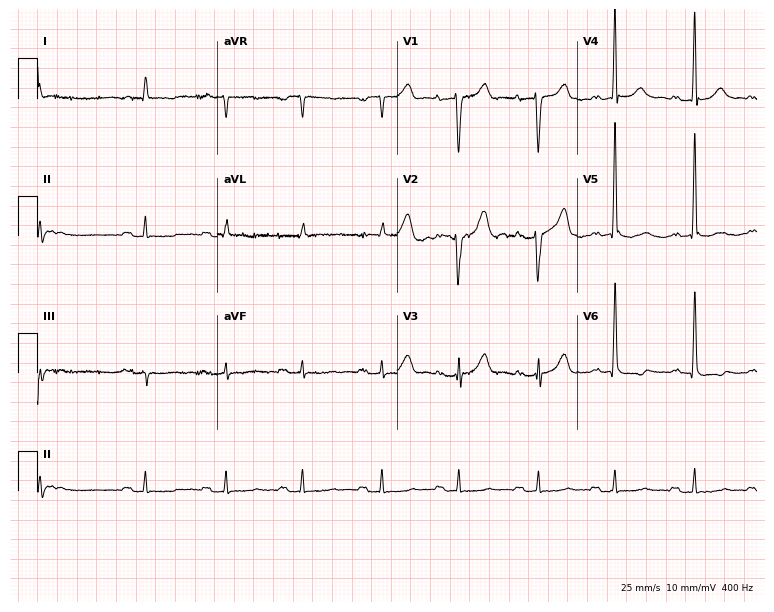
ECG — a 75-year-old man. Screened for six findings — first-degree AV block, right bundle branch block (RBBB), left bundle branch block (LBBB), sinus bradycardia, atrial fibrillation (AF), sinus tachycardia — none is recorded.